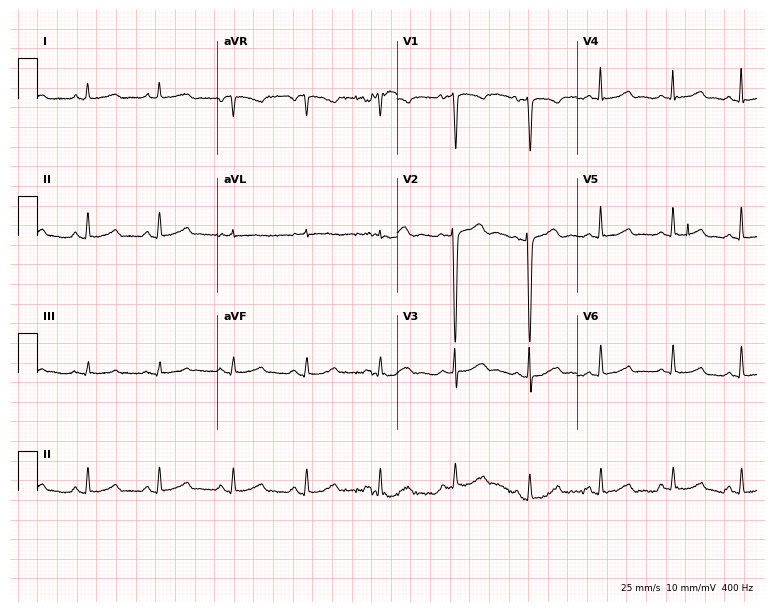
Standard 12-lead ECG recorded from a female, 22 years old. Read as a normal ECG.